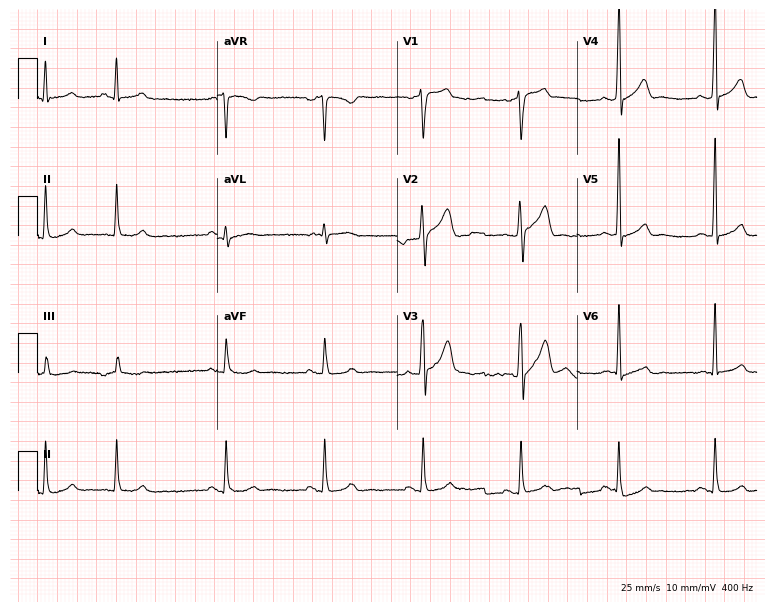
12-lead ECG from a 53-year-old male (7.3-second recording at 400 Hz). Recorded interpretation: within normal limits.